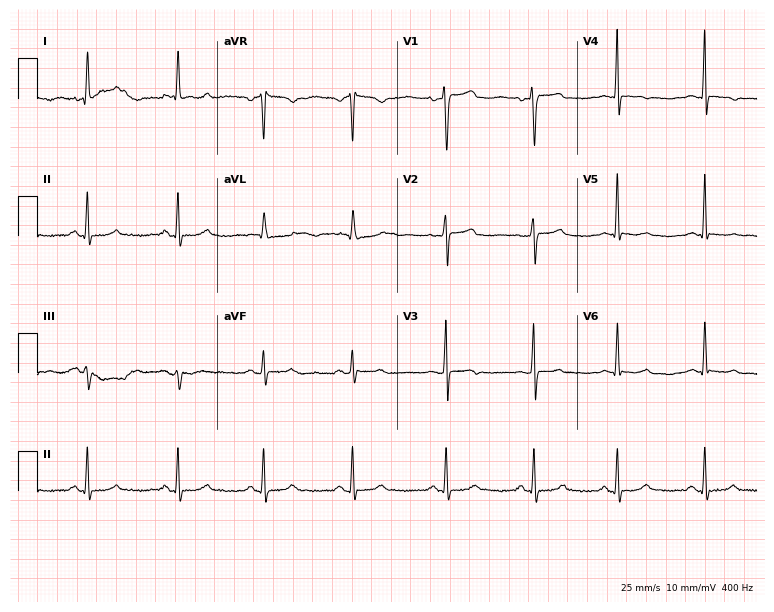
12-lead ECG from a 75-year-old female patient. Recorded interpretation: within normal limits.